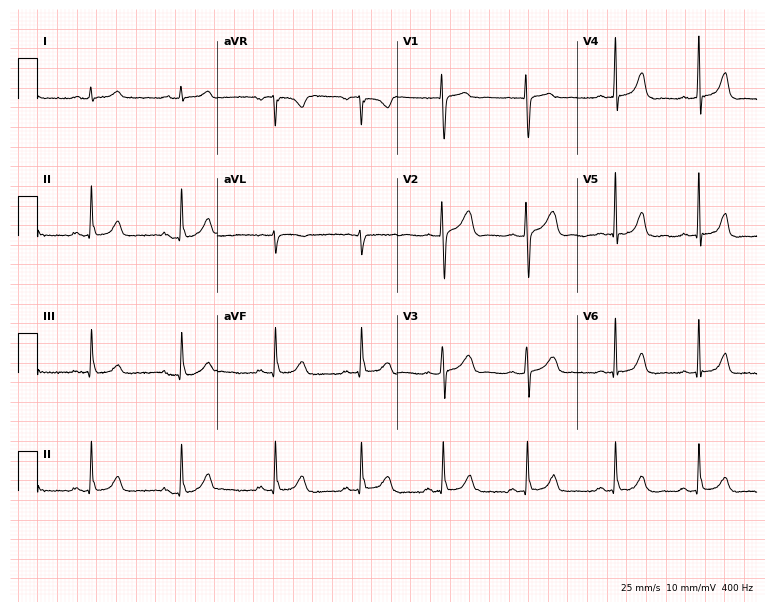
ECG (7.3-second recording at 400 Hz) — a 33-year-old female patient. Labelled as a normal ECG.